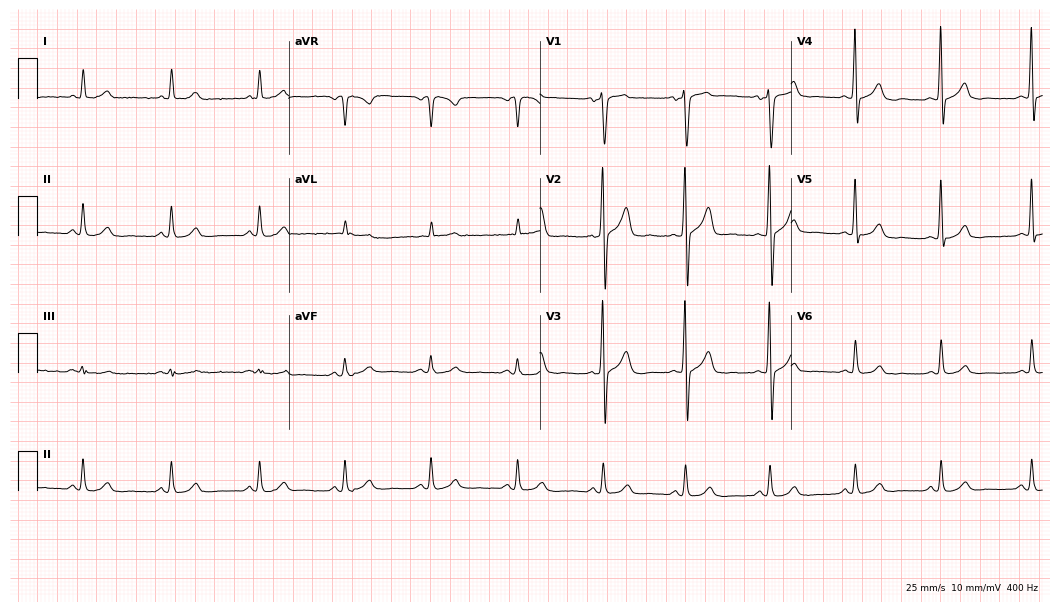
Standard 12-lead ECG recorded from a male patient, 71 years old (10.2-second recording at 400 Hz). Read as a normal ECG.